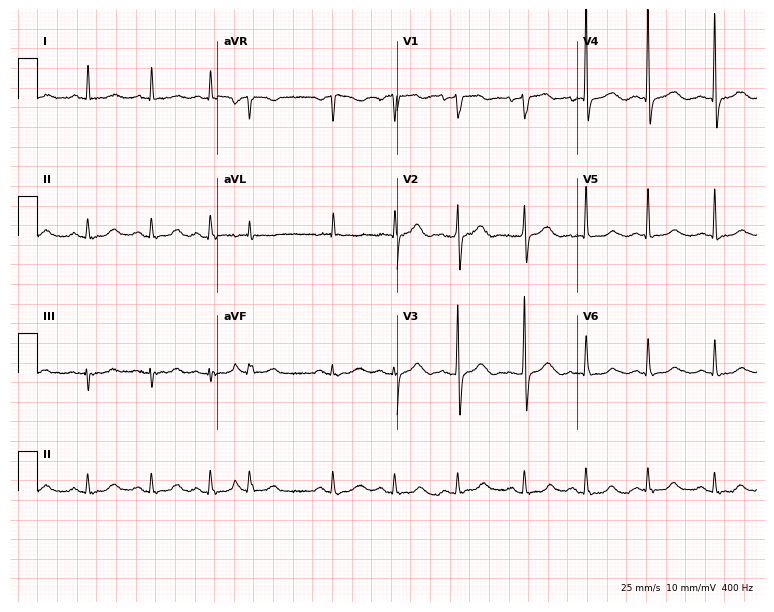
ECG — a female, 85 years old. Labelled as a normal ECG.